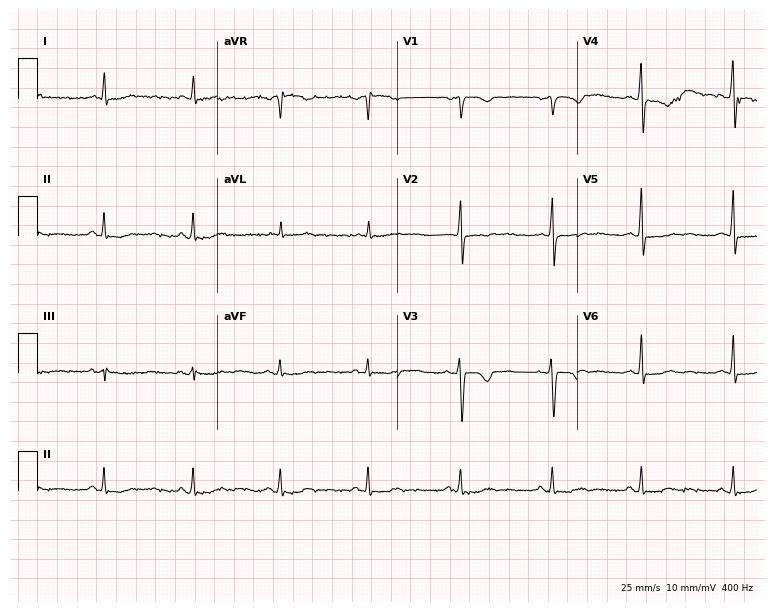
Electrocardiogram, a female, 49 years old. Of the six screened findings (first-degree AV block, right bundle branch block, left bundle branch block, sinus bradycardia, atrial fibrillation, sinus tachycardia), none is recorded.